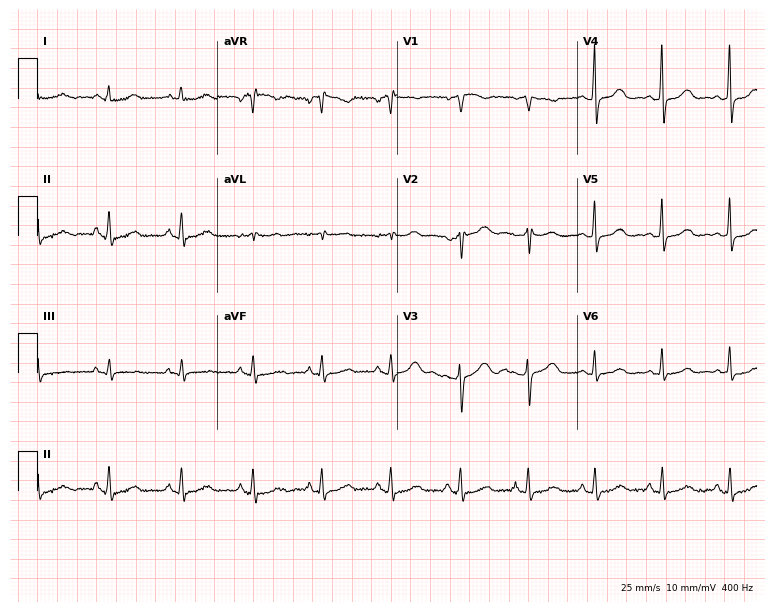
12-lead ECG from a female patient, 35 years old (7.3-second recording at 400 Hz). Recorded interpretation: within normal limits.